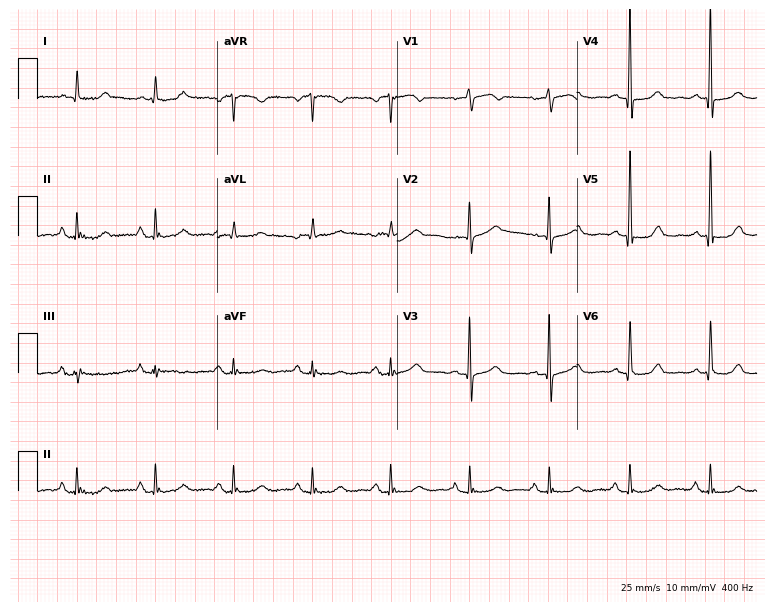
Electrocardiogram (7.3-second recording at 400 Hz), a 74-year-old female patient. Of the six screened findings (first-degree AV block, right bundle branch block, left bundle branch block, sinus bradycardia, atrial fibrillation, sinus tachycardia), none is recorded. Findings outside these six are not listed.